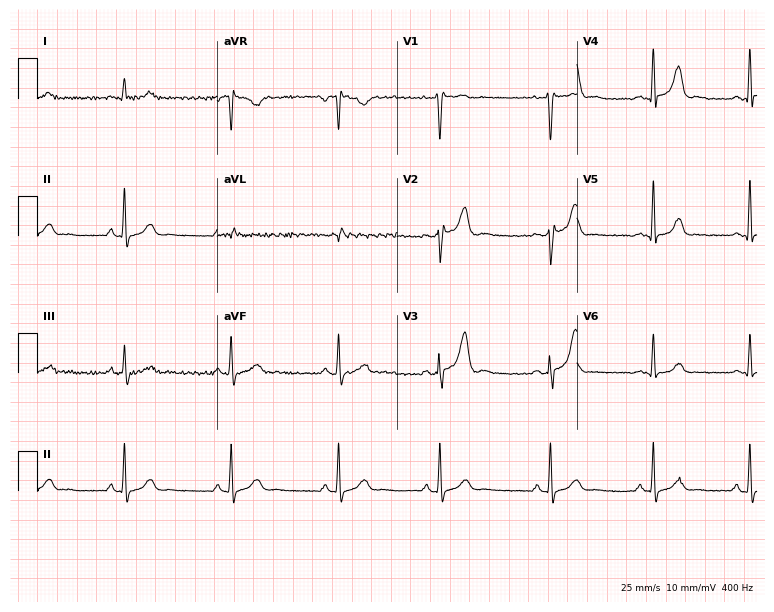
12-lead ECG (7.3-second recording at 400 Hz) from a 26-year-old male patient. Labelled as a normal ECG.